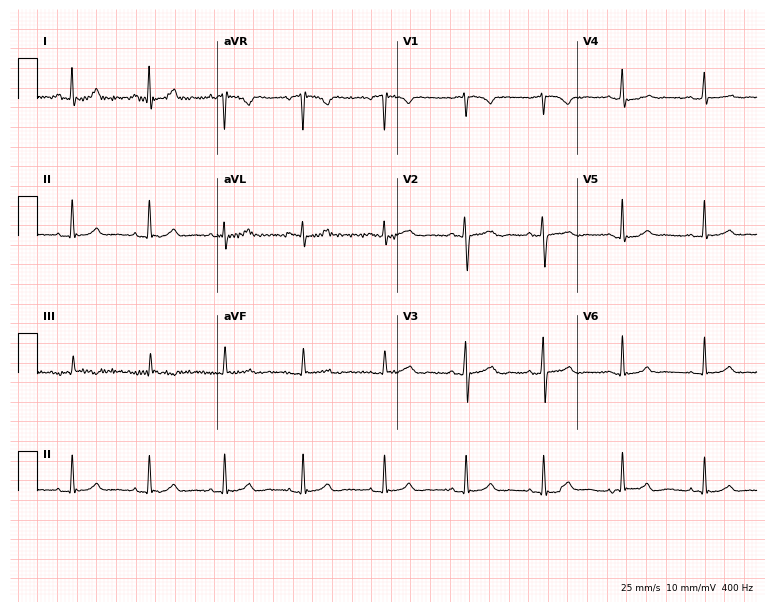
12-lead ECG (7.3-second recording at 400 Hz) from a female, 19 years old. Labelled as a normal ECG.